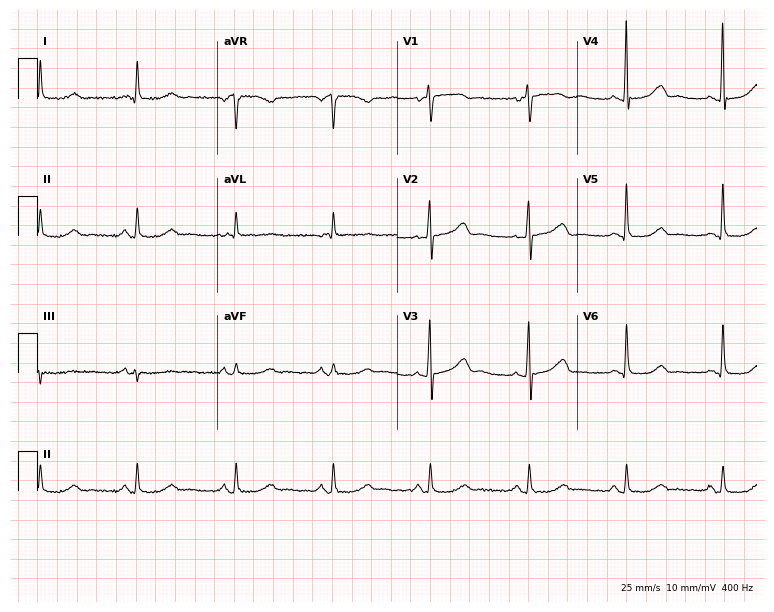
12-lead ECG (7.3-second recording at 400 Hz) from a woman, 79 years old. Labelled as a normal ECG.